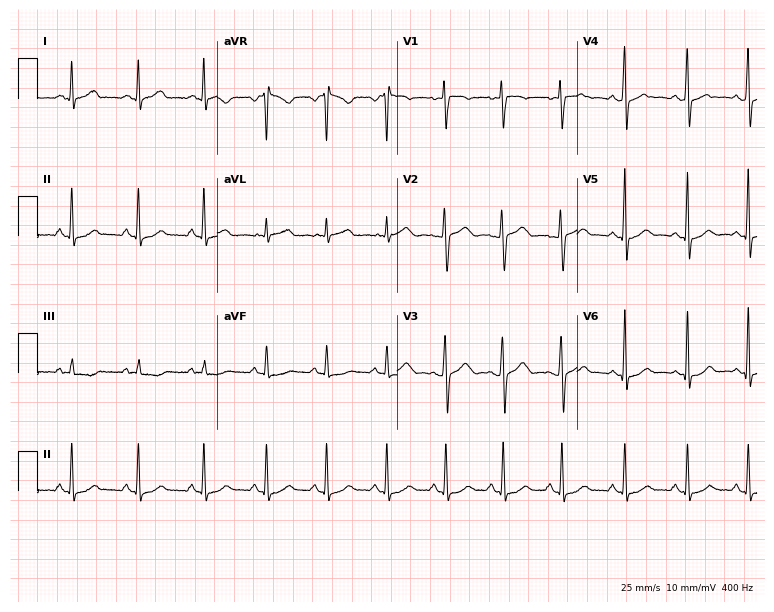
Electrocardiogram (7.3-second recording at 400 Hz), a 38-year-old male. Overall reading on record: normal ECG.